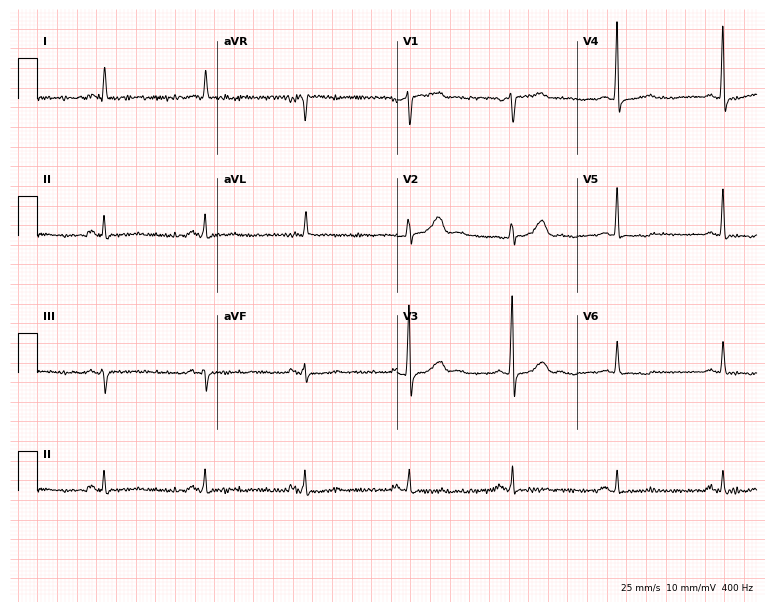
Standard 12-lead ECG recorded from a female patient, 59 years old. Read as a normal ECG.